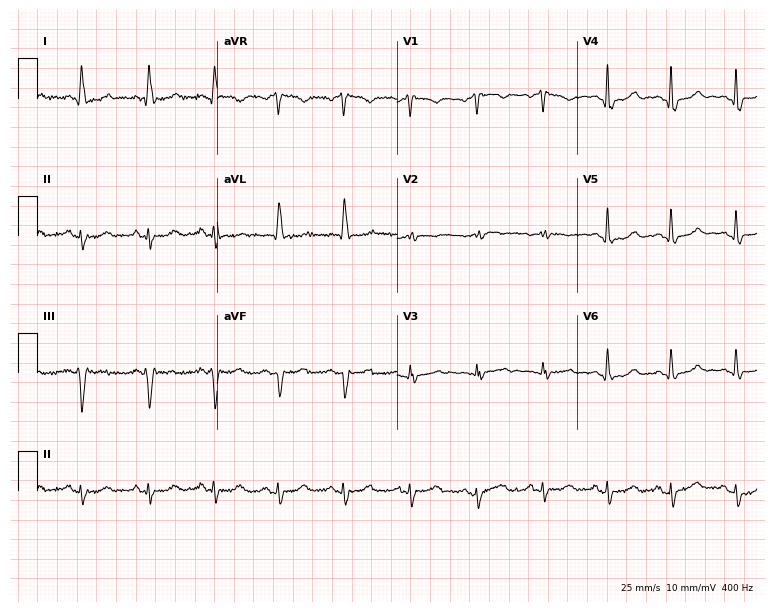
Standard 12-lead ECG recorded from a male, 81 years old. None of these six findings is recorded: first-degree AV block, right bundle branch block (RBBB), left bundle branch block (LBBB), sinus bradycardia, atrial fibrillation (AF), sinus tachycardia. Other findings, if any, are not listed.